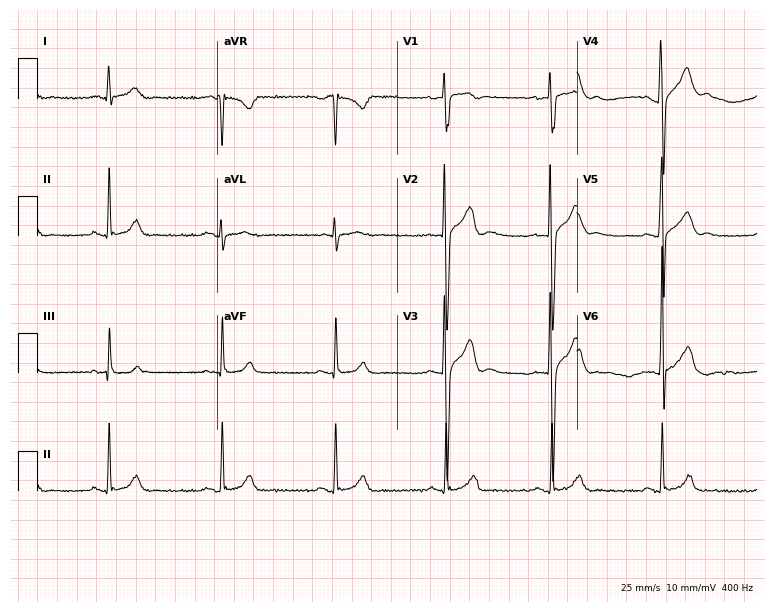
Resting 12-lead electrocardiogram. Patient: a male, 34 years old. None of these six findings is recorded: first-degree AV block, right bundle branch block (RBBB), left bundle branch block (LBBB), sinus bradycardia, atrial fibrillation (AF), sinus tachycardia. Other findings, if any, are not listed.